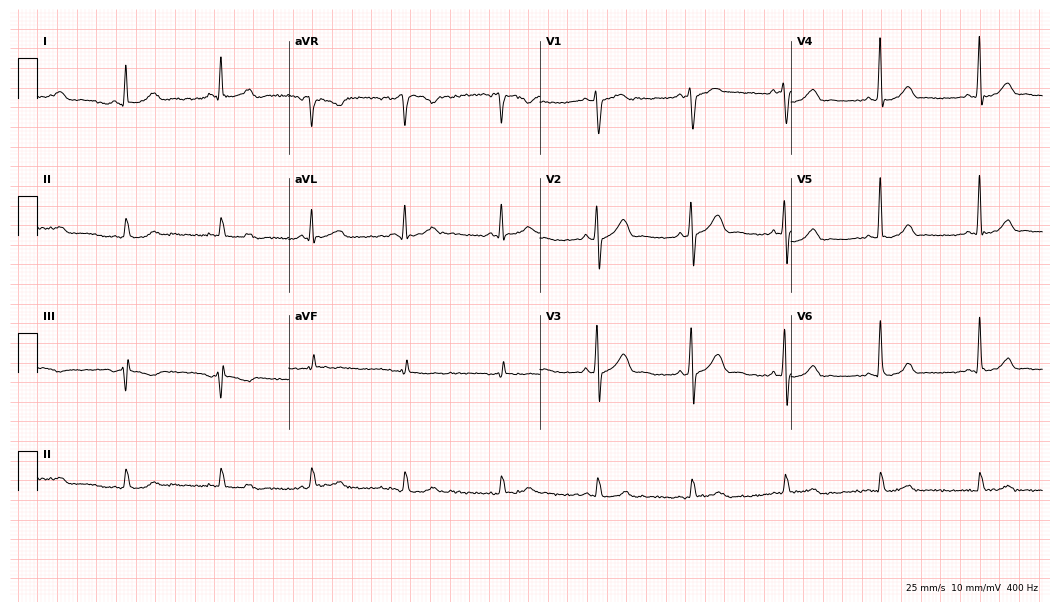
Electrocardiogram (10.2-second recording at 400 Hz), a 56-year-old man. Of the six screened findings (first-degree AV block, right bundle branch block, left bundle branch block, sinus bradycardia, atrial fibrillation, sinus tachycardia), none is recorded. Findings outside these six are not listed.